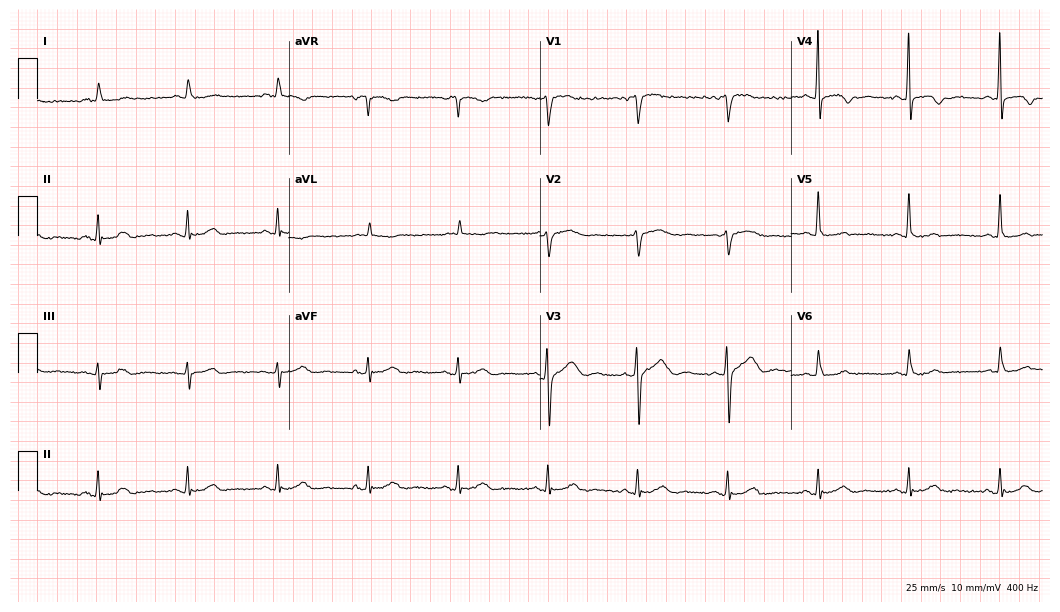
Electrocardiogram, a female patient, 83 years old. Of the six screened findings (first-degree AV block, right bundle branch block, left bundle branch block, sinus bradycardia, atrial fibrillation, sinus tachycardia), none is recorded.